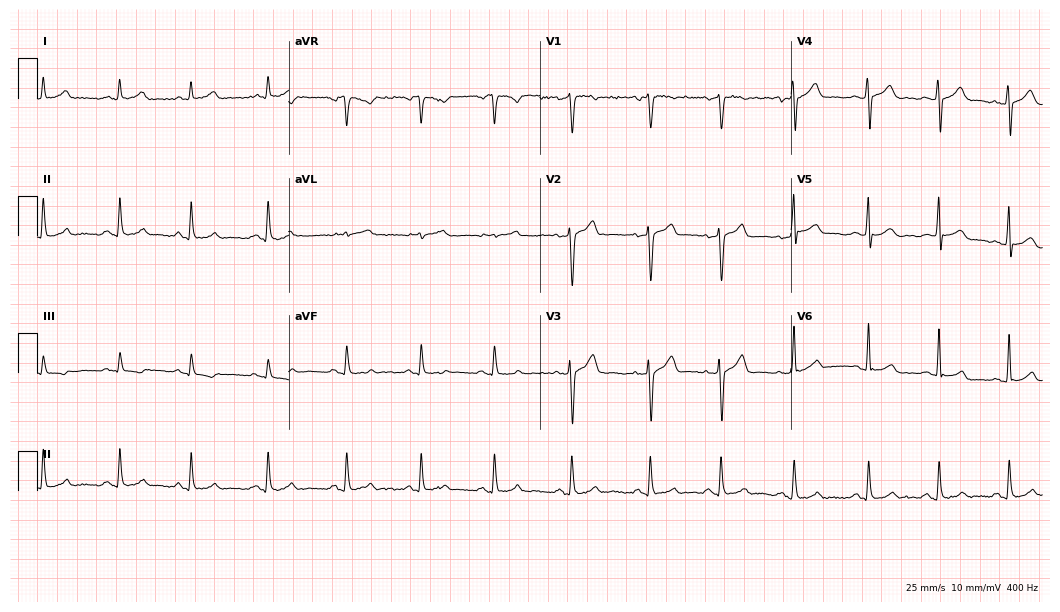
12-lead ECG (10.2-second recording at 400 Hz) from a 27-year-old female patient. Labelled as a normal ECG.